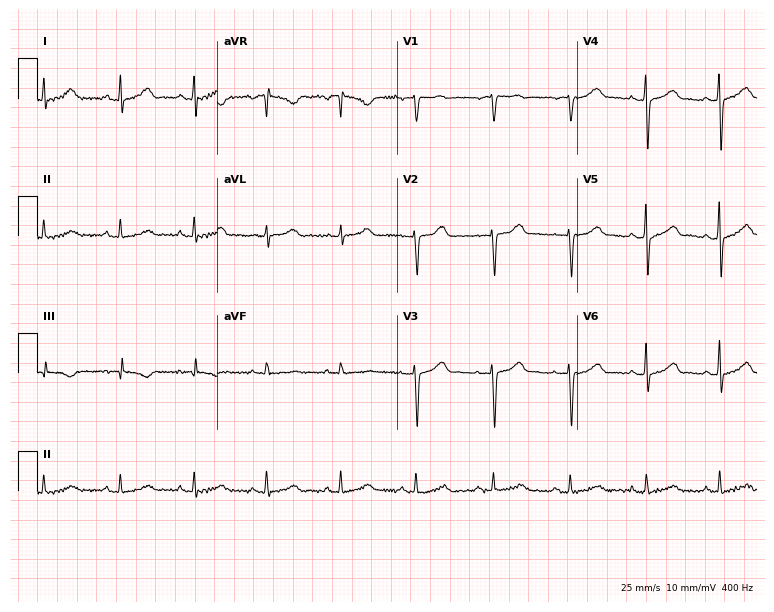
ECG — a woman, 54 years old. Labelled as a normal ECG.